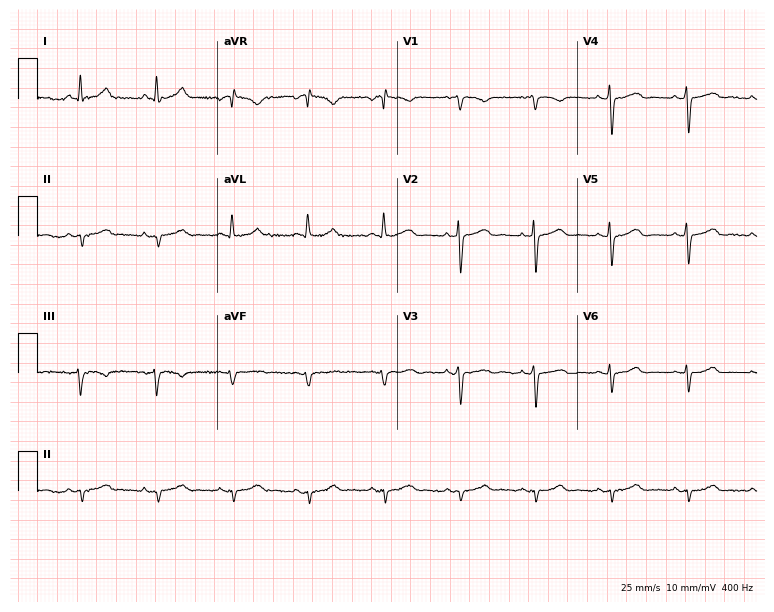
Standard 12-lead ECG recorded from a 61-year-old woman (7.3-second recording at 400 Hz). None of these six findings is recorded: first-degree AV block, right bundle branch block, left bundle branch block, sinus bradycardia, atrial fibrillation, sinus tachycardia. Other findings, if any, are not listed.